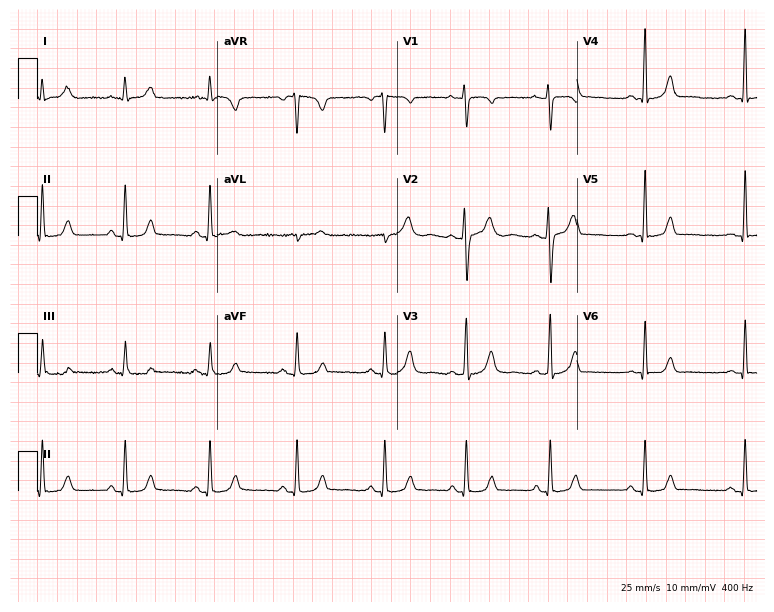
Electrocardiogram (7.3-second recording at 400 Hz), a 39-year-old woman. Of the six screened findings (first-degree AV block, right bundle branch block, left bundle branch block, sinus bradycardia, atrial fibrillation, sinus tachycardia), none is recorded.